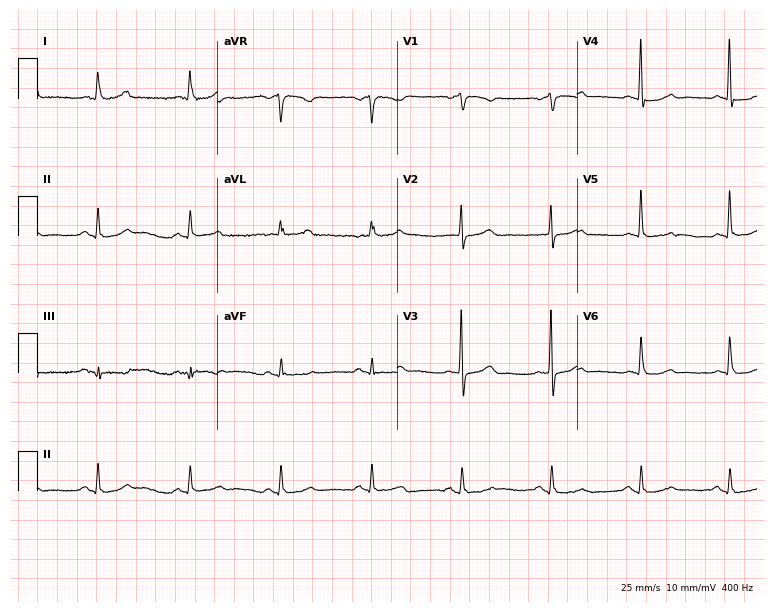
12-lead ECG from a woman, 81 years old (7.3-second recording at 400 Hz). No first-degree AV block, right bundle branch block, left bundle branch block, sinus bradycardia, atrial fibrillation or sinus tachycardia recorded for this tracing. Only these six findings were labelled.